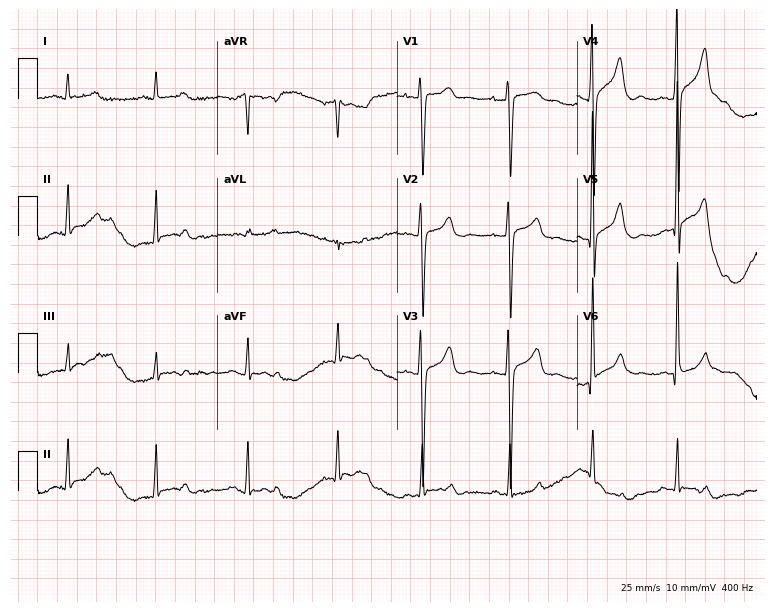
12-lead ECG from a male, 42 years old (7.3-second recording at 400 Hz). No first-degree AV block, right bundle branch block, left bundle branch block, sinus bradycardia, atrial fibrillation or sinus tachycardia recorded for this tracing. Findings outside these six are not listed.